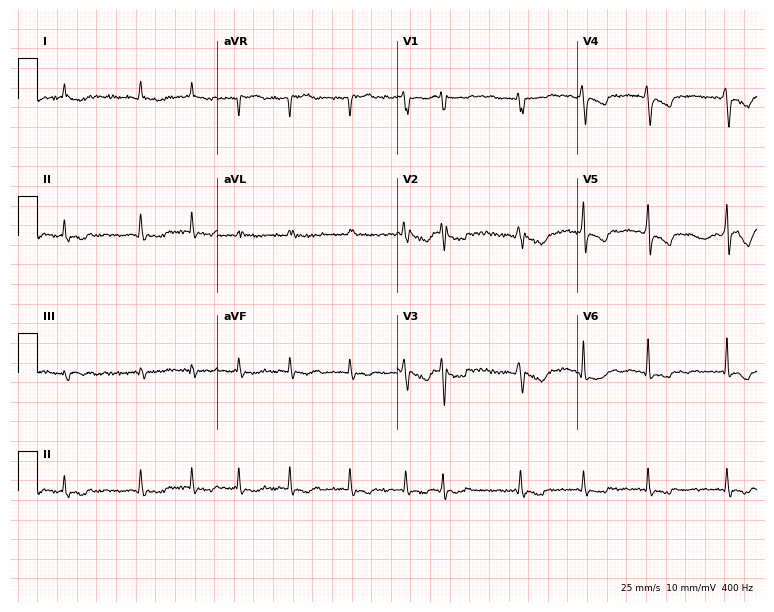
ECG (7.3-second recording at 400 Hz) — a 64-year-old man. Findings include atrial fibrillation (AF).